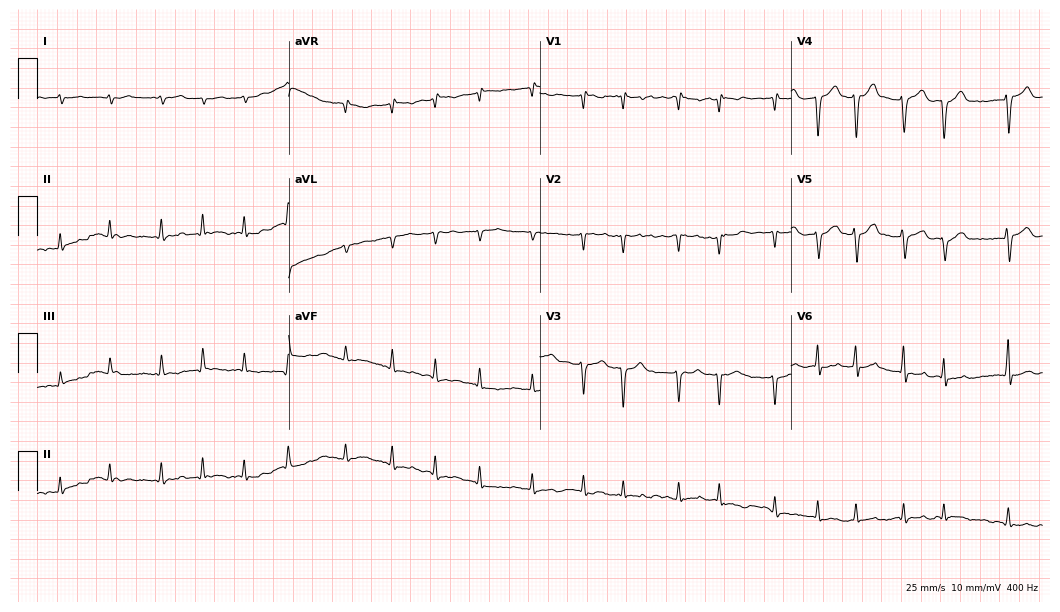
Electrocardiogram (10.2-second recording at 400 Hz), a man, 82 years old. Interpretation includes atrial fibrillation.